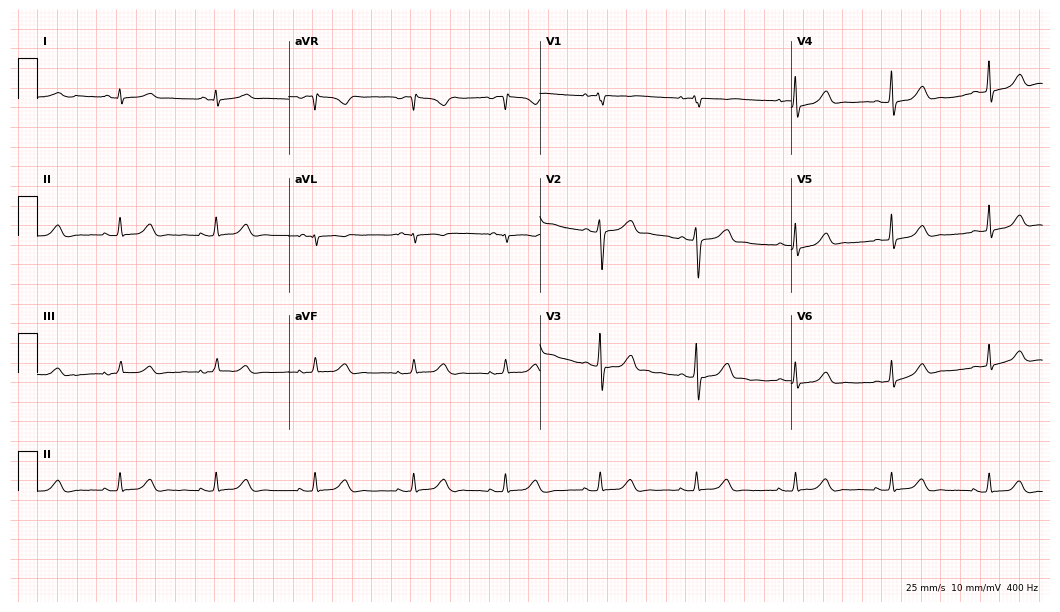
Standard 12-lead ECG recorded from a 36-year-old female patient. Read as a normal ECG.